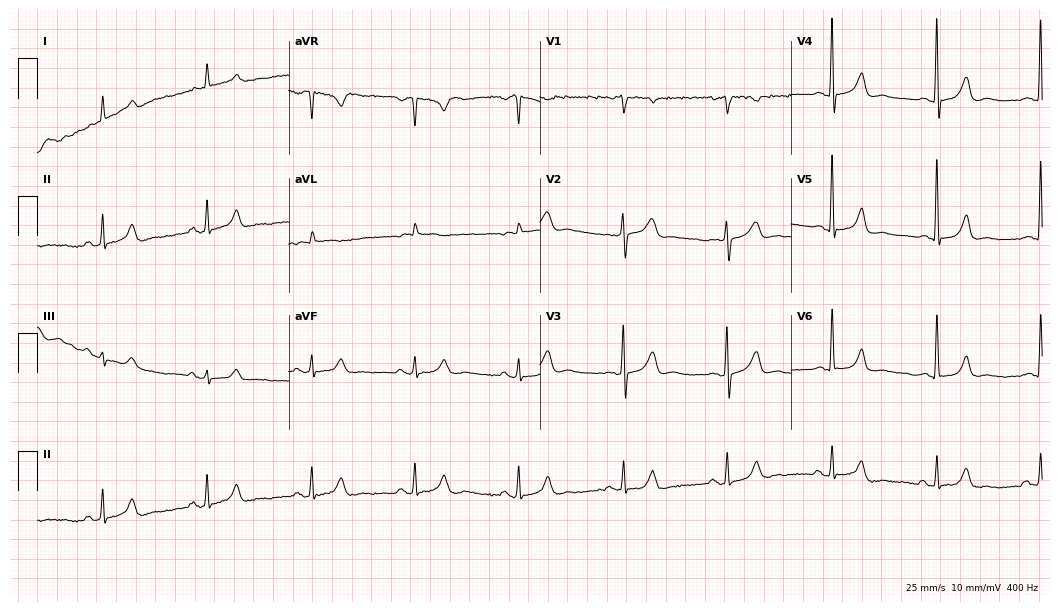
ECG (10.2-second recording at 400 Hz) — a 74-year-old female. Labelled as a normal ECG.